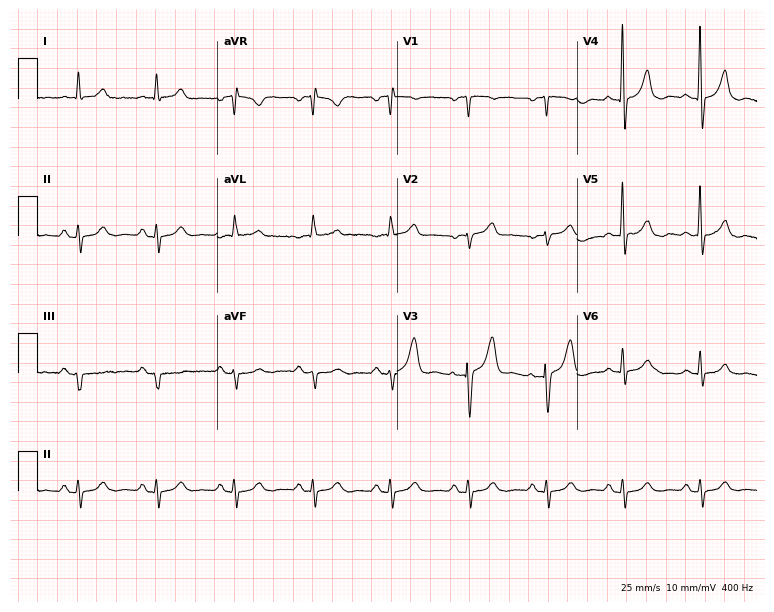
Resting 12-lead electrocardiogram (7.3-second recording at 400 Hz). Patient: a 75-year-old male. None of these six findings is recorded: first-degree AV block, right bundle branch block, left bundle branch block, sinus bradycardia, atrial fibrillation, sinus tachycardia. Findings outside these six are not listed.